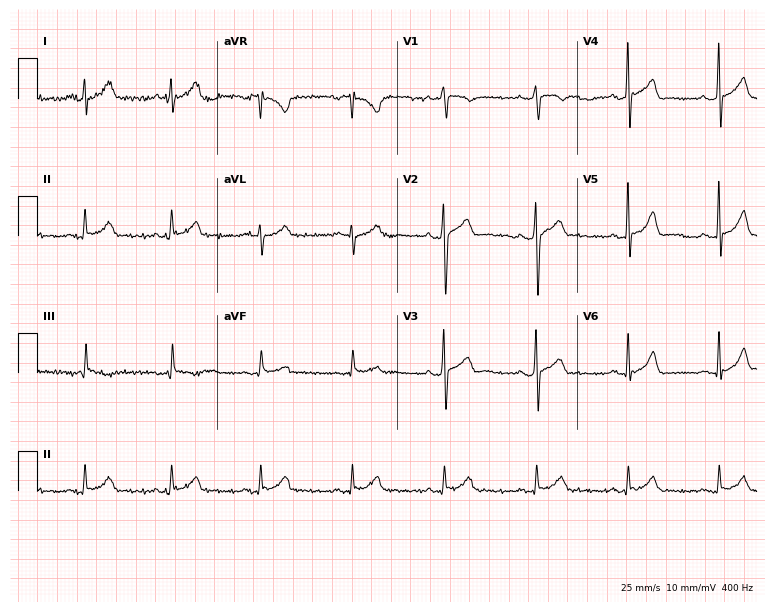
Resting 12-lead electrocardiogram (7.3-second recording at 400 Hz). Patient: a man, 31 years old. Read as a normal ECG.